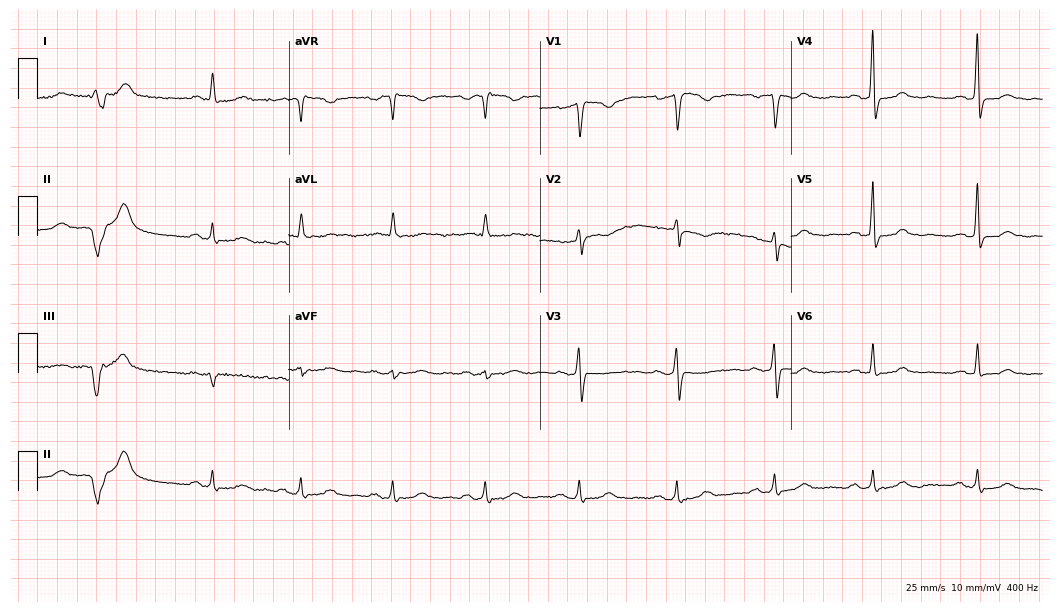
12-lead ECG (10.2-second recording at 400 Hz) from a 63-year-old woman. Screened for six findings — first-degree AV block, right bundle branch block, left bundle branch block, sinus bradycardia, atrial fibrillation, sinus tachycardia — none is recorded.